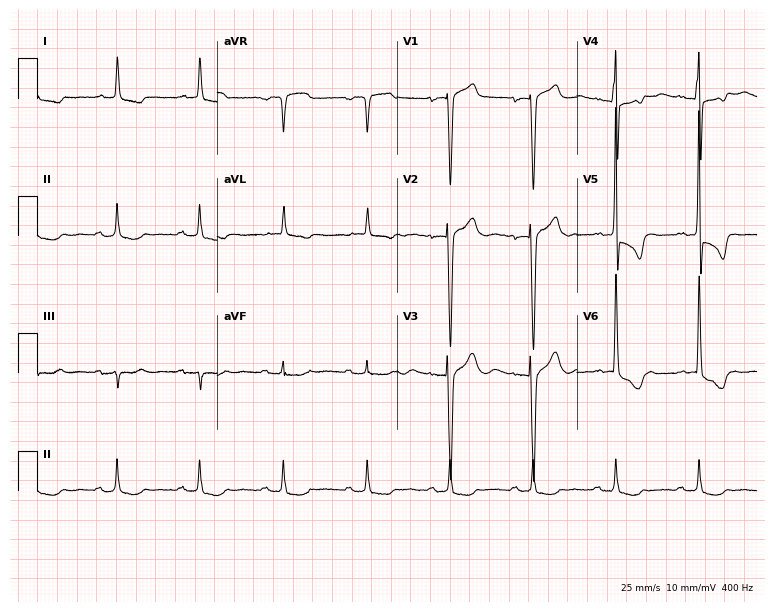
Resting 12-lead electrocardiogram (7.3-second recording at 400 Hz). Patient: a 77-year-old male. None of these six findings is recorded: first-degree AV block, right bundle branch block, left bundle branch block, sinus bradycardia, atrial fibrillation, sinus tachycardia.